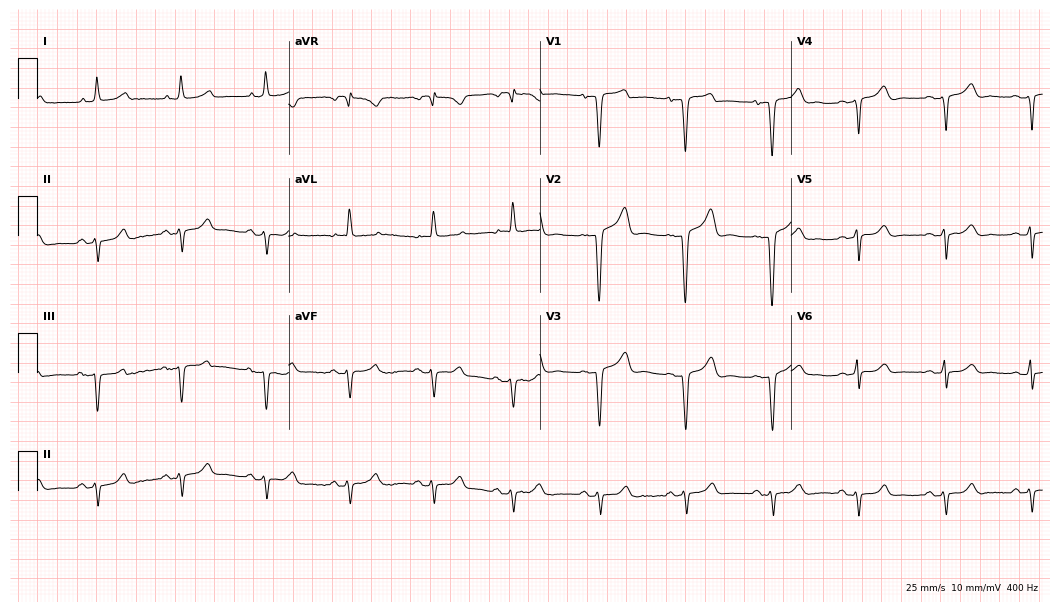
ECG — a 75-year-old female patient. Screened for six findings — first-degree AV block, right bundle branch block, left bundle branch block, sinus bradycardia, atrial fibrillation, sinus tachycardia — none is recorded.